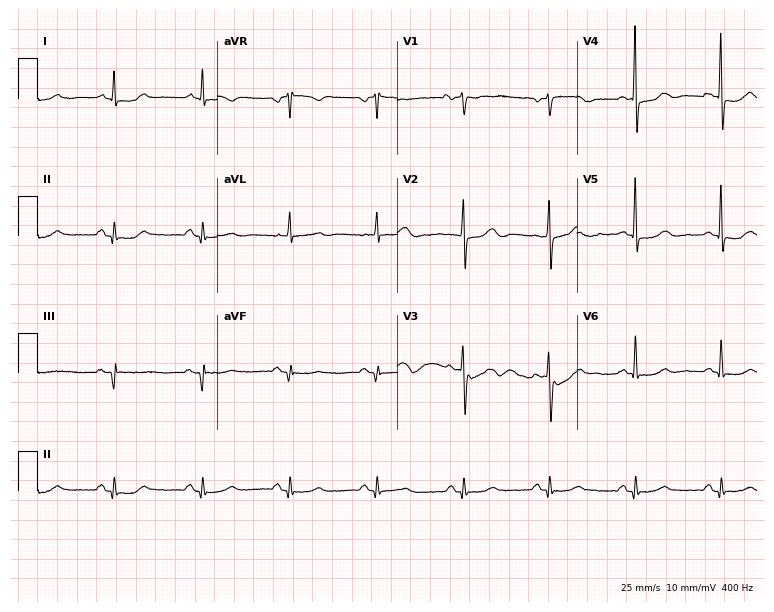
ECG (7.3-second recording at 400 Hz) — an 81-year-old woman. Screened for six findings — first-degree AV block, right bundle branch block, left bundle branch block, sinus bradycardia, atrial fibrillation, sinus tachycardia — none is recorded. Other findings, if any, are not listed.